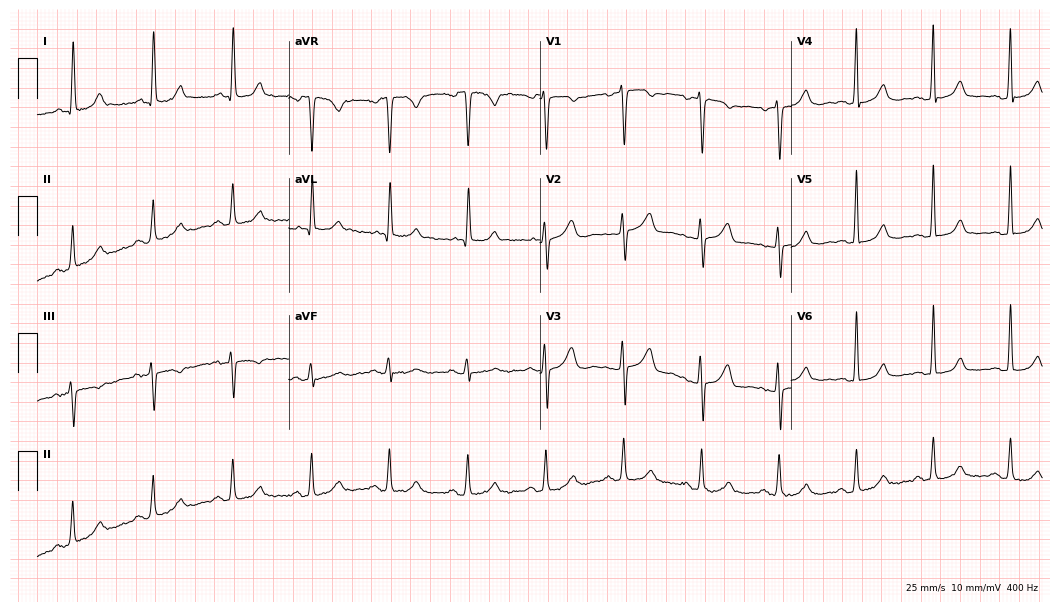
Resting 12-lead electrocardiogram (10.2-second recording at 400 Hz). Patient: a woman, 73 years old. Read as a normal ECG.